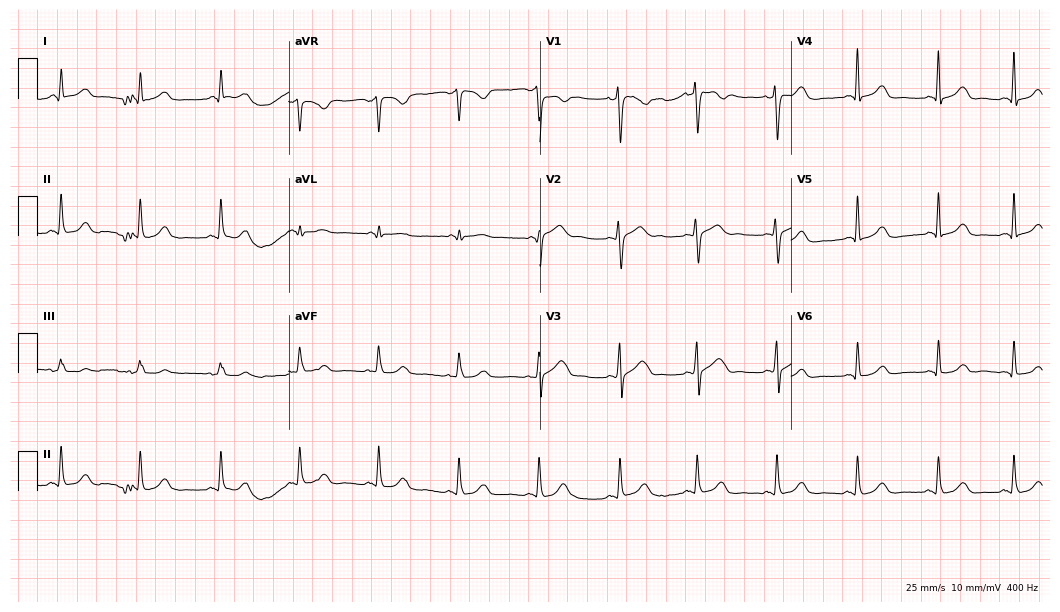
12-lead ECG (10.2-second recording at 400 Hz) from a female patient, 42 years old. Screened for six findings — first-degree AV block, right bundle branch block, left bundle branch block, sinus bradycardia, atrial fibrillation, sinus tachycardia — none is recorded. Only these six findings were labelled.